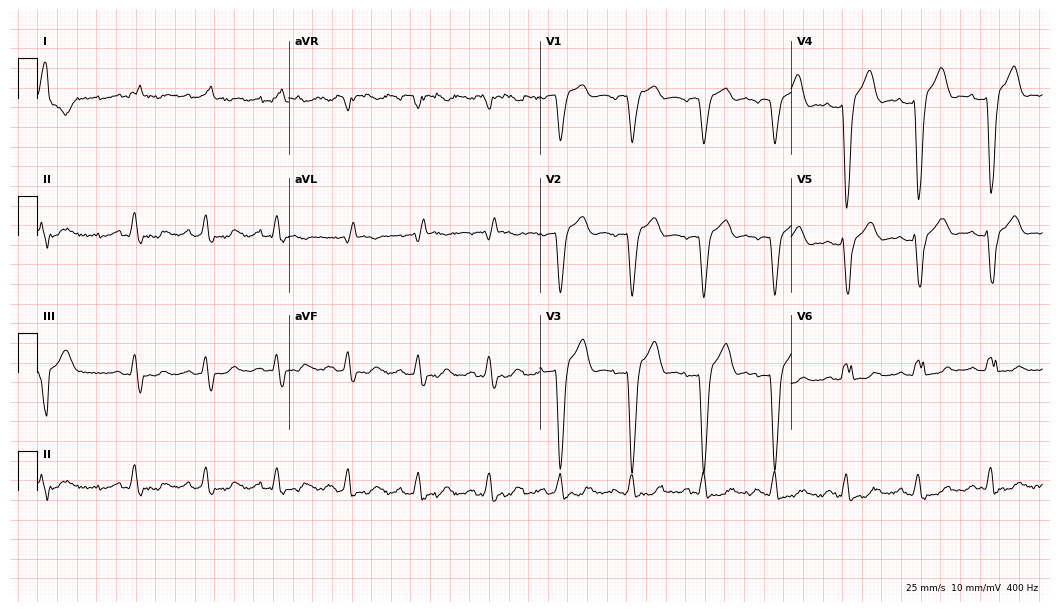
ECG (10.2-second recording at 400 Hz) — a 68-year-old man. Findings include left bundle branch block.